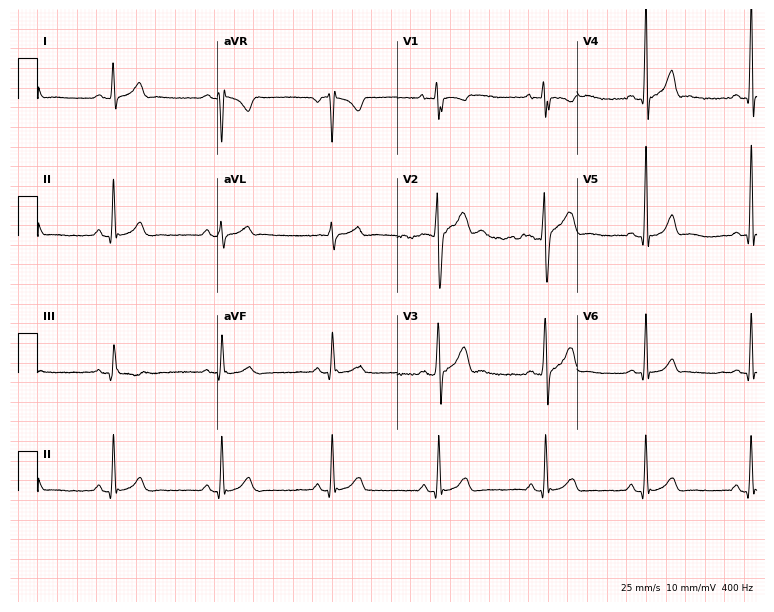
Electrocardiogram (7.3-second recording at 400 Hz), a man, 20 years old. Of the six screened findings (first-degree AV block, right bundle branch block, left bundle branch block, sinus bradycardia, atrial fibrillation, sinus tachycardia), none is recorded. Other findings, if any, are not listed.